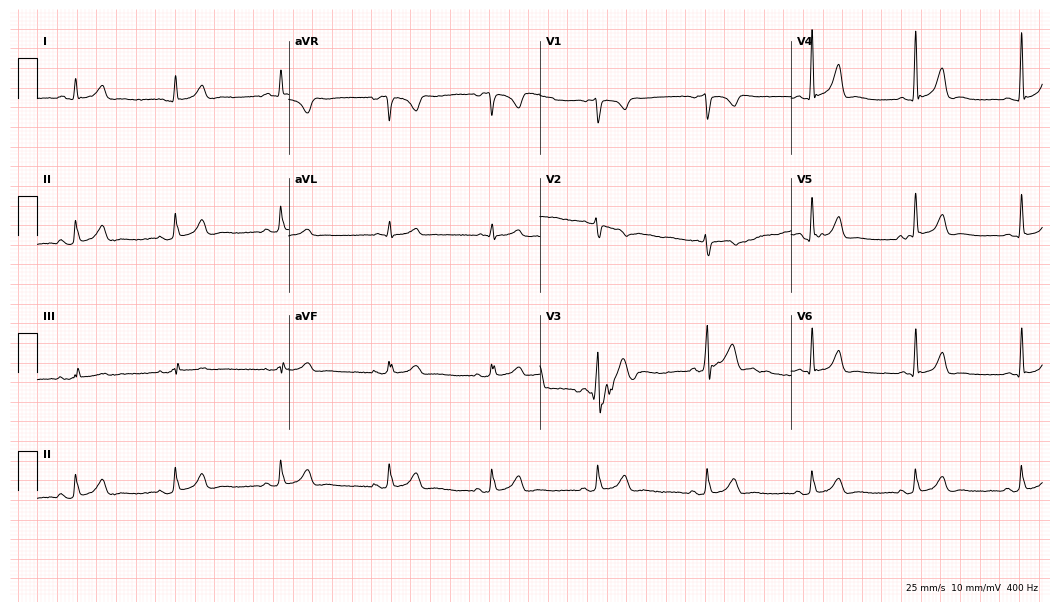
Electrocardiogram (10.2-second recording at 400 Hz), a male patient, 28 years old. Overall reading on record: normal ECG.